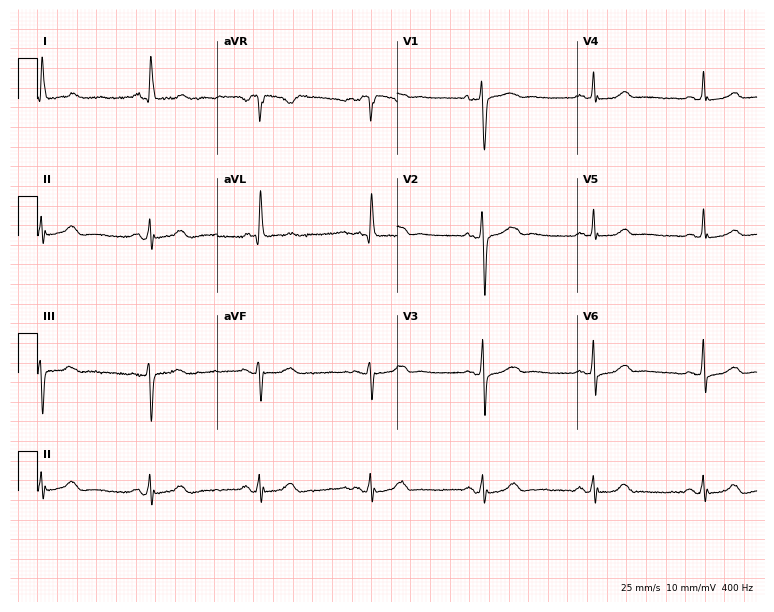
12-lead ECG from a female, 83 years old. Screened for six findings — first-degree AV block, right bundle branch block, left bundle branch block, sinus bradycardia, atrial fibrillation, sinus tachycardia — none is recorded. Only these six findings were labelled.